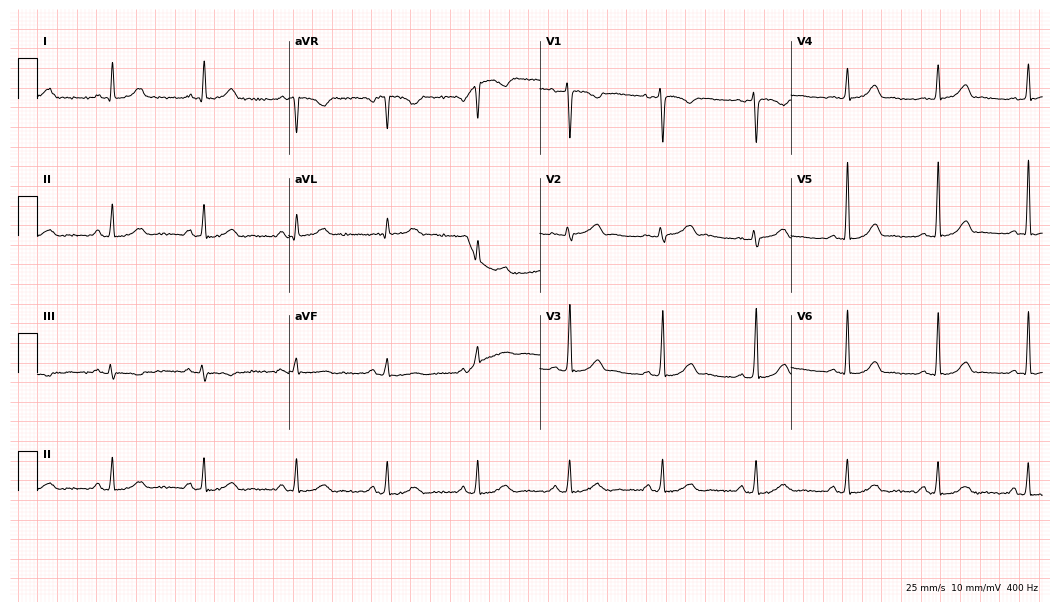
Standard 12-lead ECG recorded from a 42-year-old woman. Read as a normal ECG.